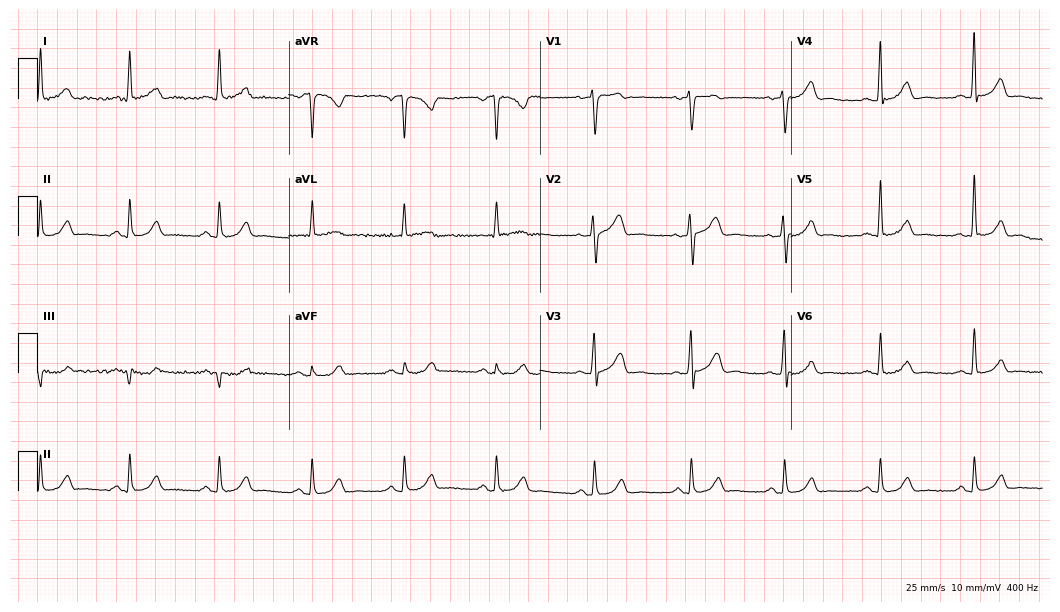
Electrocardiogram (10.2-second recording at 400 Hz), a 51-year-old female. Of the six screened findings (first-degree AV block, right bundle branch block (RBBB), left bundle branch block (LBBB), sinus bradycardia, atrial fibrillation (AF), sinus tachycardia), none is recorded. Only these six findings were labelled.